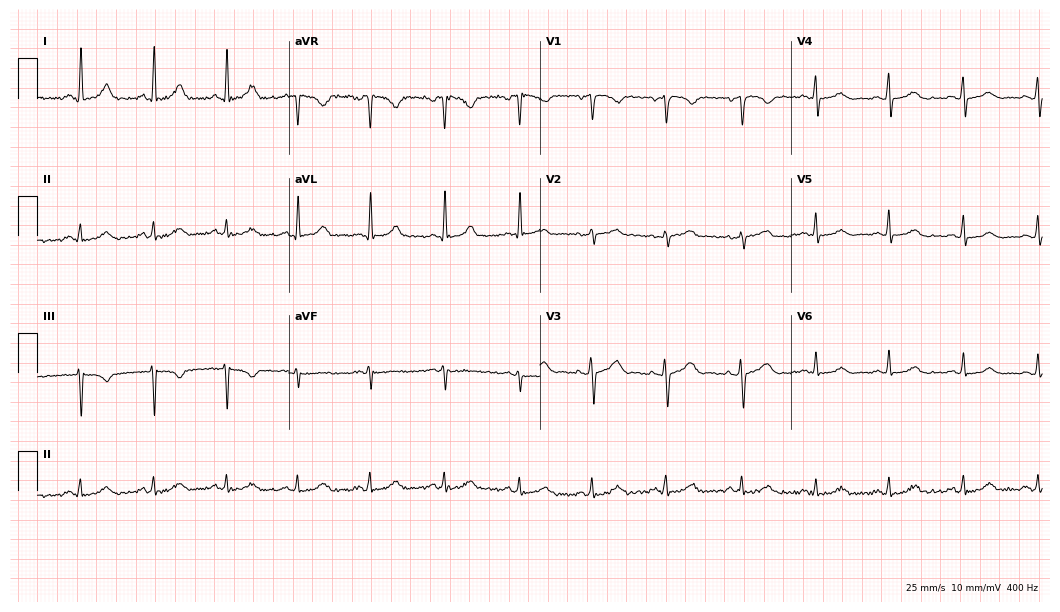
12-lead ECG (10.2-second recording at 400 Hz) from a female, 40 years old. Labelled as a normal ECG.